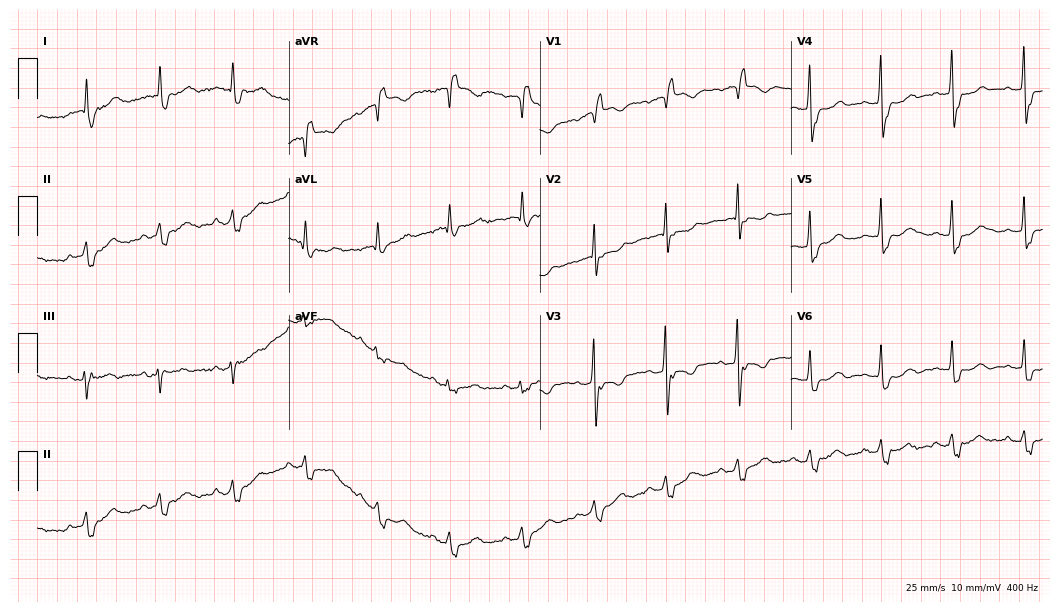
Electrocardiogram (10.2-second recording at 400 Hz), a female, 84 years old. Interpretation includes right bundle branch block (RBBB).